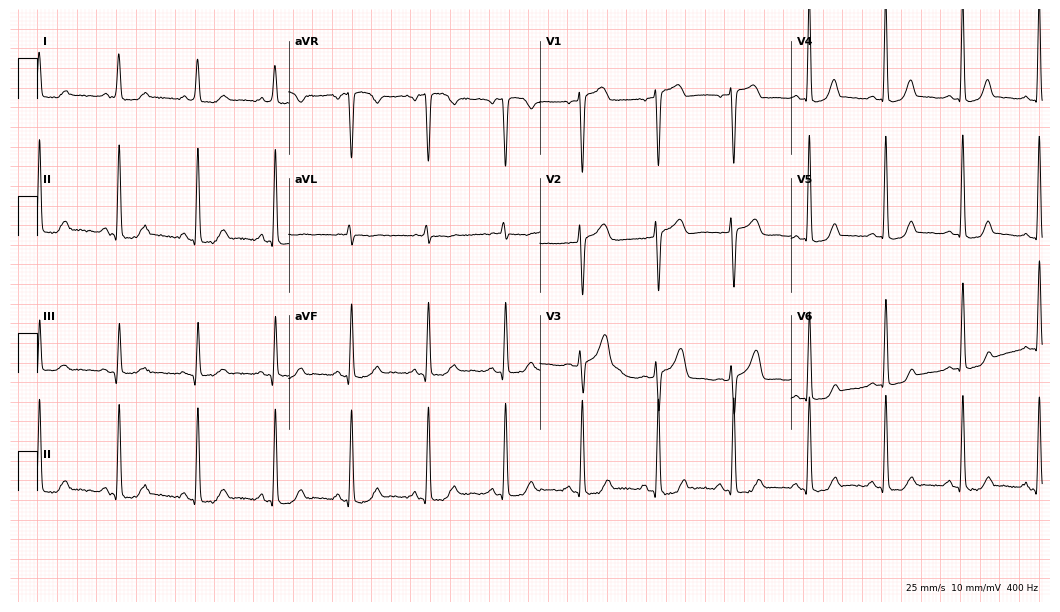
ECG (10.2-second recording at 400 Hz) — a 70-year-old woman. Labelled as a normal ECG.